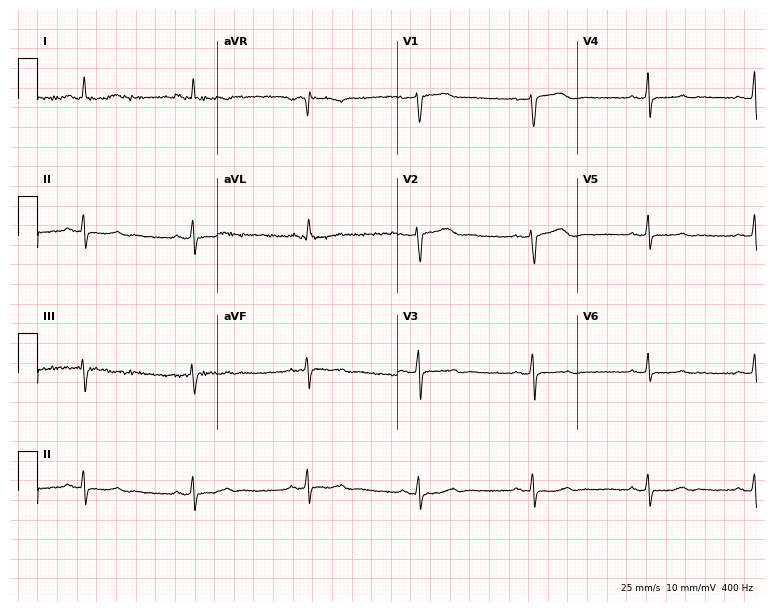
ECG — a woman, 63 years old. Screened for six findings — first-degree AV block, right bundle branch block (RBBB), left bundle branch block (LBBB), sinus bradycardia, atrial fibrillation (AF), sinus tachycardia — none is recorded.